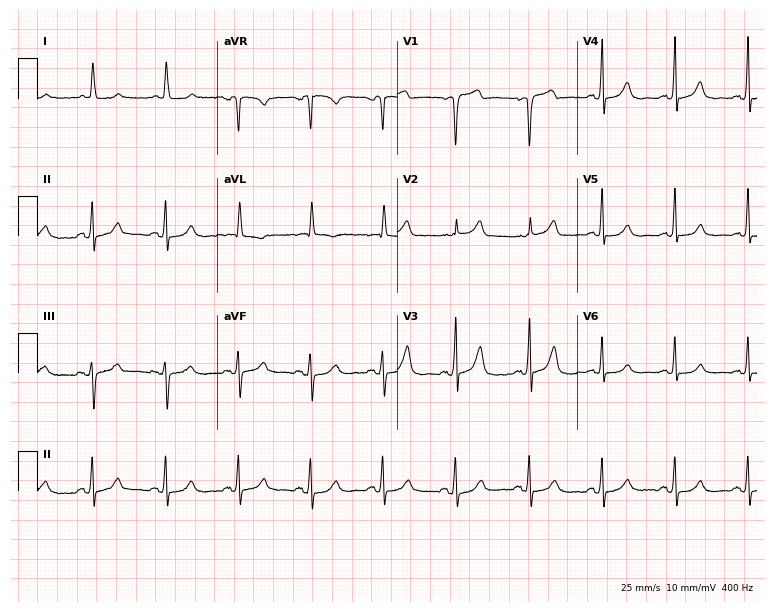
12-lead ECG from a 73-year-old woman (7.3-second recording at 400 Hz). Recorded interpretation: within normal limits.